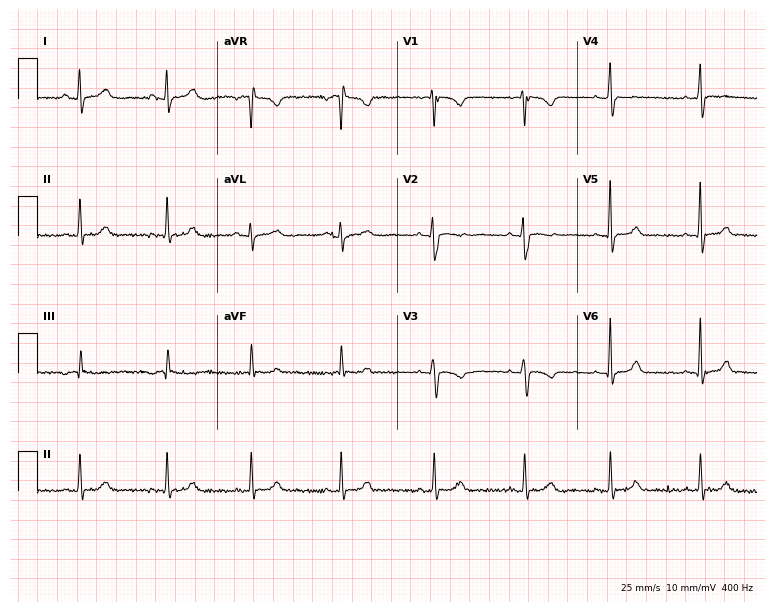
ECG — a woman, 23 years old. Labelled as a normal ECG.